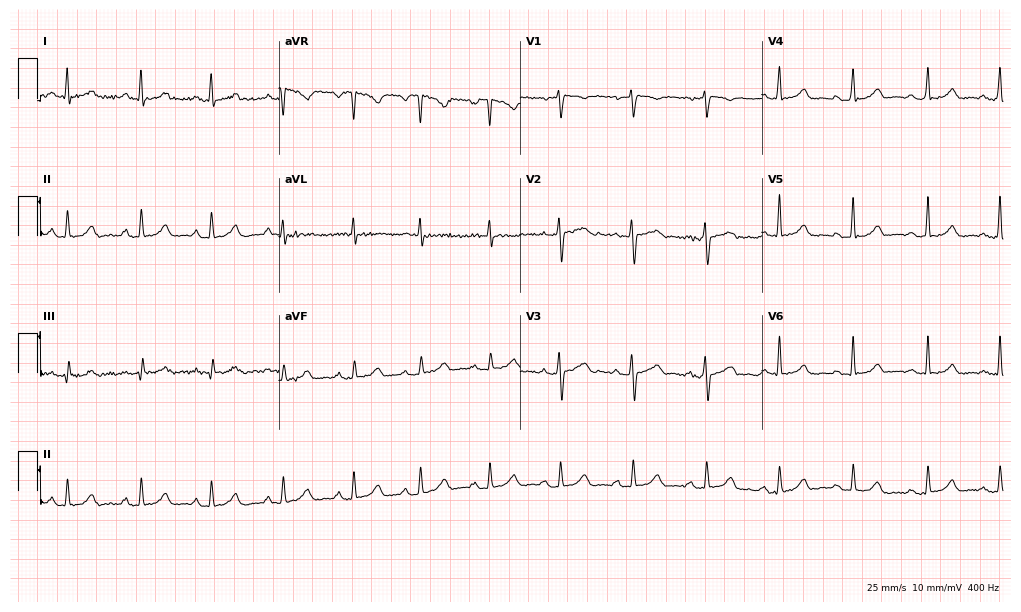
Standard 12-lead ECG recorded from a 48-year-old female (9.8-second recording at 400 Hz). Read as a normal ECG.